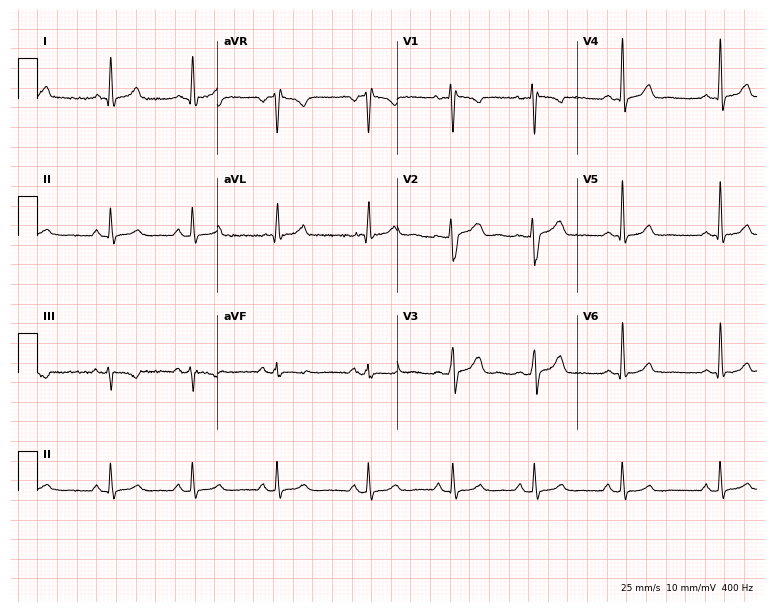
12-lead ECG from a female patient, 33 years old (7.3-second recording at 400 Hz). Recorded interpretation: within normal limits.